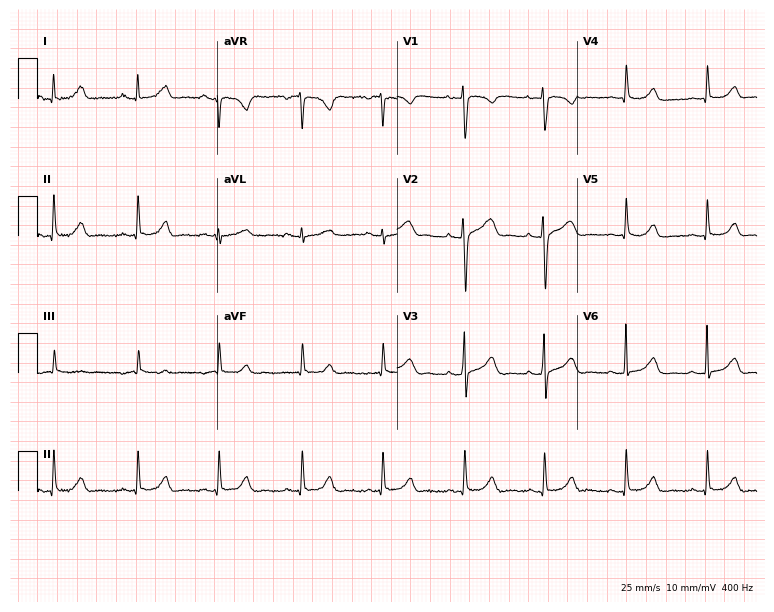
Standard 12-lead ECG recorded from a 36-year-old woman. None of these six findings is recorded: first-degree AV block, right bundle branch block, left bundle branch block, sinus bradycardia, atrial fibrillation, sinus tachycardia. Other findings, if any, are not listed.